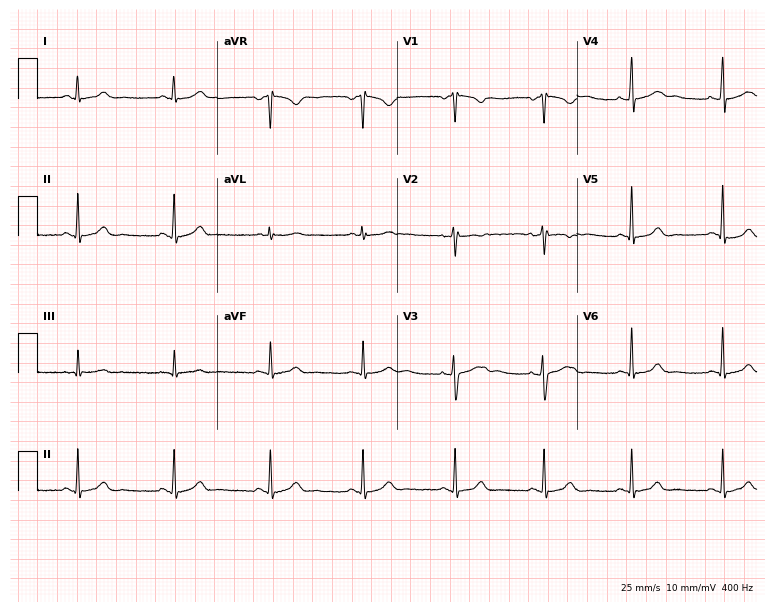
12-lead ECG from a female patient, 18 years old. No first-degree AV block, right bundle branch block, left bundle branch block, sinus bradycardia, atrial fibrillation or sinus tachycardia recorded for this tracing. Only these six findings were labelled.